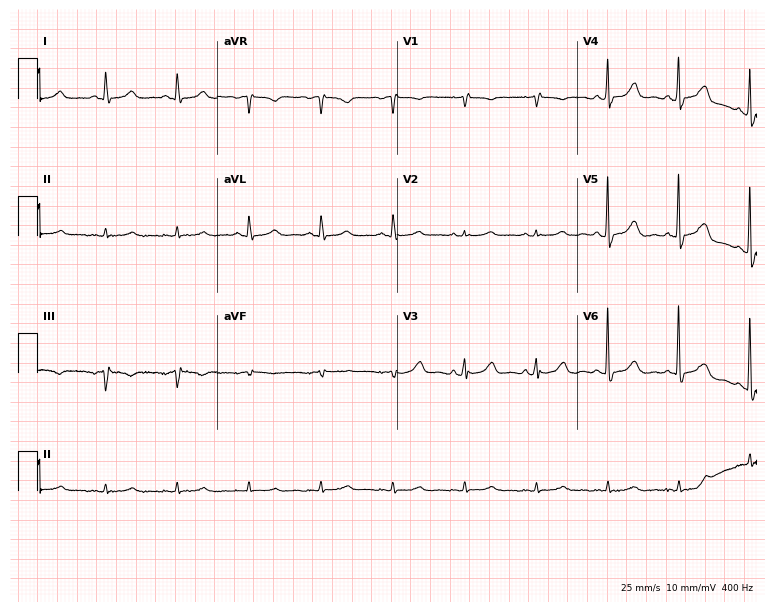
12-lead ECG from a 71-year-old woman. Labelled as a normal ECG.